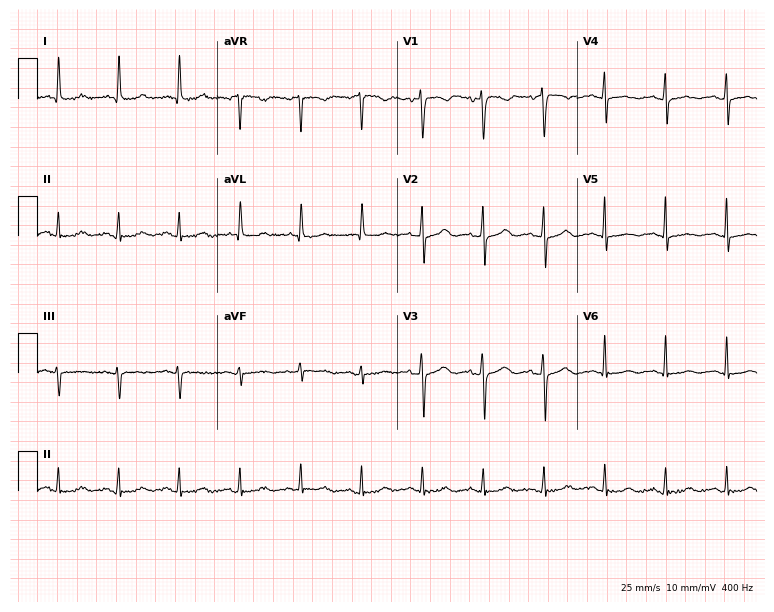
Standard 12-lead ECG recorded from a woman, 78 years old (7.3-second recording at 400 Hz). None of these six findings is recorded: first-degree AV block, right bundle branch block, left bundle branch block, sinus bradycardia, atrial fibrillation, sinus tachycardia.